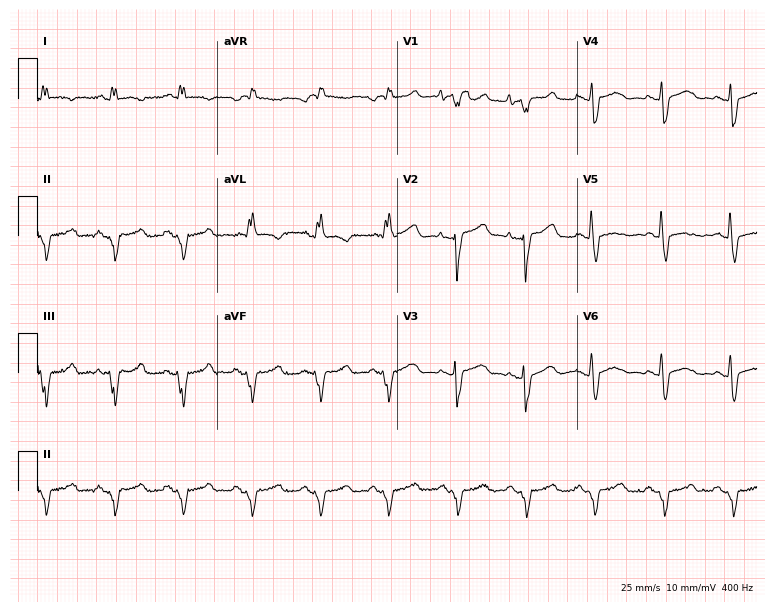
Standard 12-lead ECG recorded from a 47-year-old female. None of these six findings is recorded: first-degree AV block, right bundle branch block, left bundle branch block, sinus bradycardia, atrial fibrillation, sinus tachycardia.